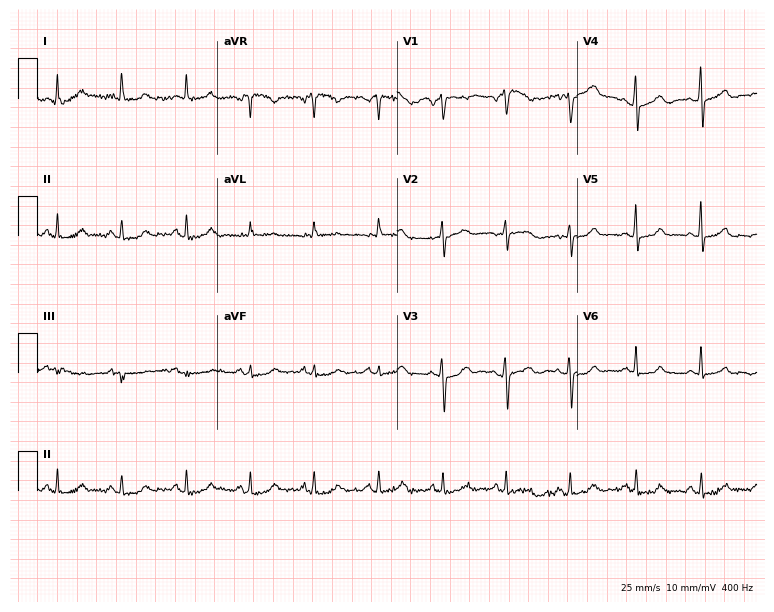
12-lead ECG (7.3-second recording at 400 Hz) from a woman, 53 years old. Labelled as a normal ECG.